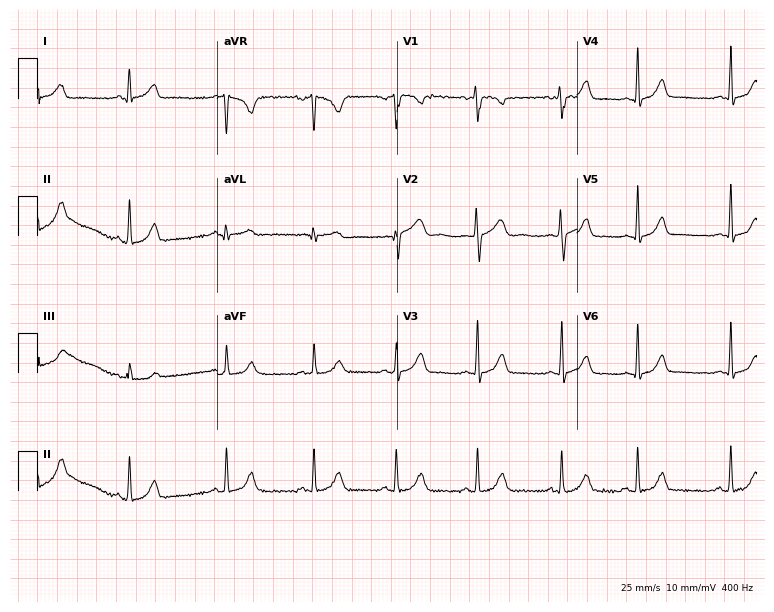
Electrocardiogram, a 30-year-old woman. Overall reading on record: normal ECG.